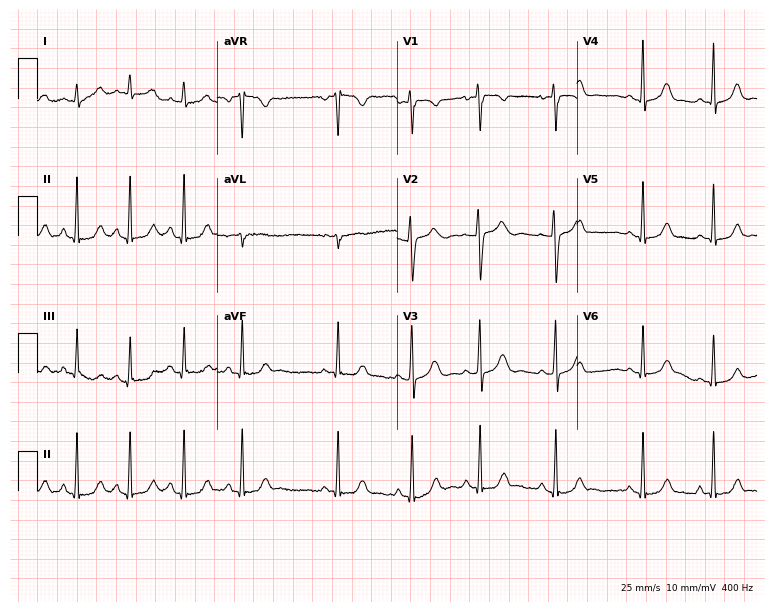
ECG — a female, 18 years old. Screened for six findings — first-degree AV block, right bundle branch block (RBBB), left bundle branch block (LBBB), sinus bradycardia, atrial fibrillation (AF), sinus tachycardia — none is recorded.